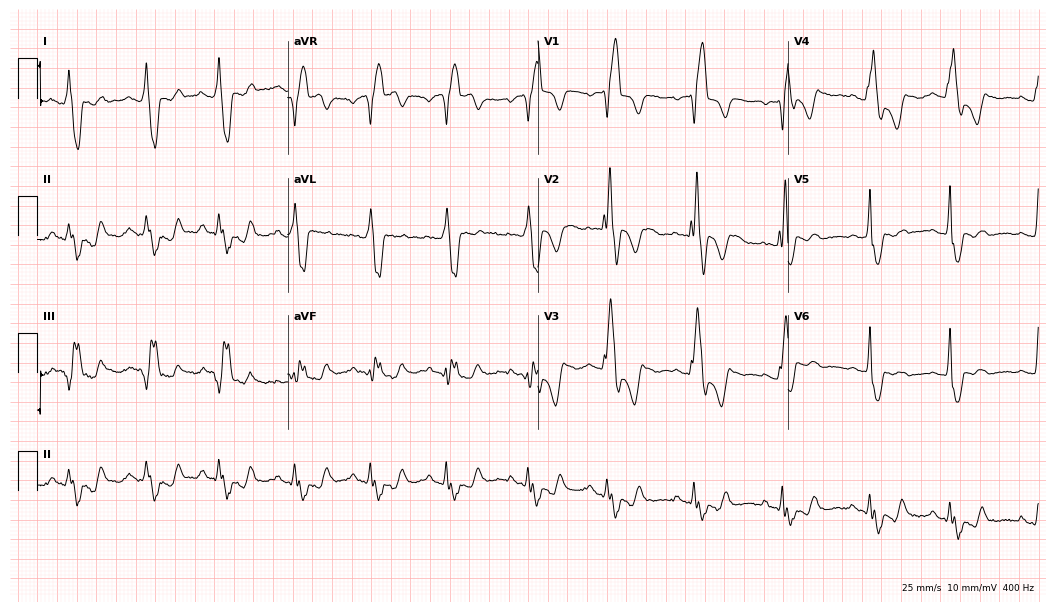
ECG (10.2-second recording at 400 Hz) — a 19-year-old female patient. Findings include right bundle branch block.